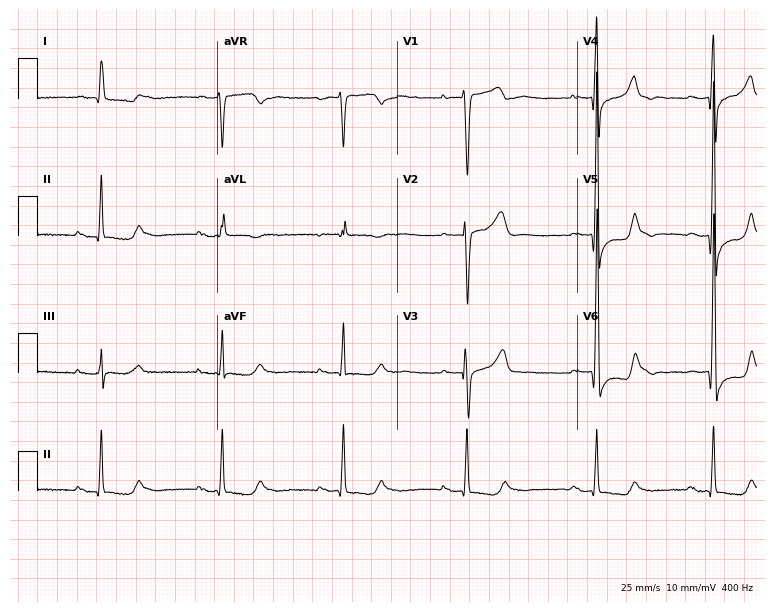
ECG (7.3-second recording at 400 Hz) — a 70-year-old male patient. Screened for six findings — first-degree AV block, right bundle branch block, left bundle branch block, sinus bradycardia, atrial fibrillation, sinus tachycardia — none is recorded.